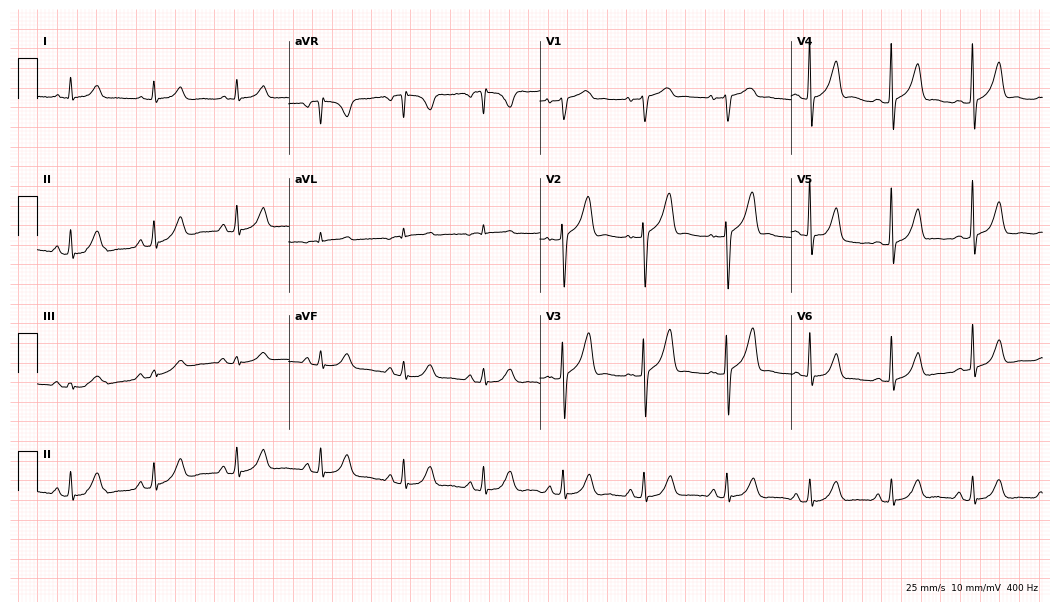
12-lead ECG from a male, 57 years old. No first-degree AV block, right bundle branch block, left bundle branch block, sinus bradycardia, atrial fibrillation or sinus tachycardia recorded for this tracing.